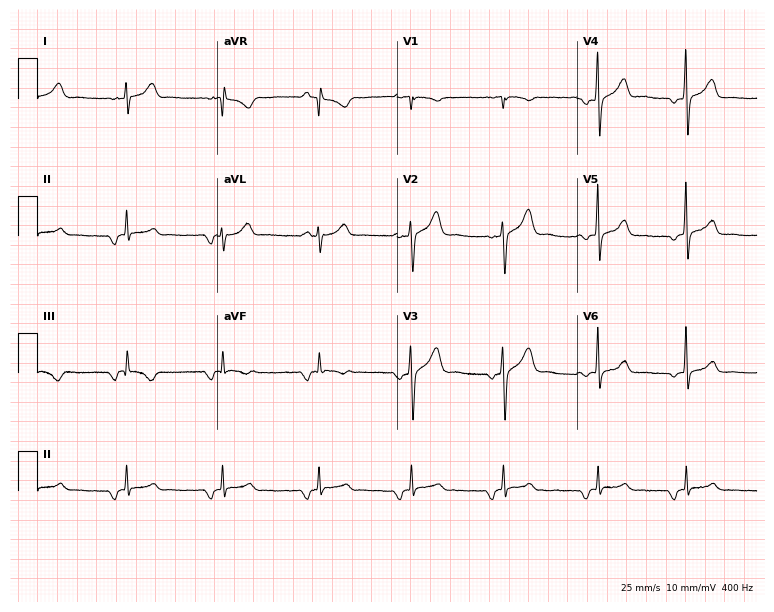
Resting 12-lead electrocardiogram (7.3-second recording at 400 Hz). Patient: a 32-year-old man. None of these six findings is recorded: first-degree AV block, right bundle branch block, left bundle branch block, sinus bradycardia, atrial fibrillation, sinus tachycardia.